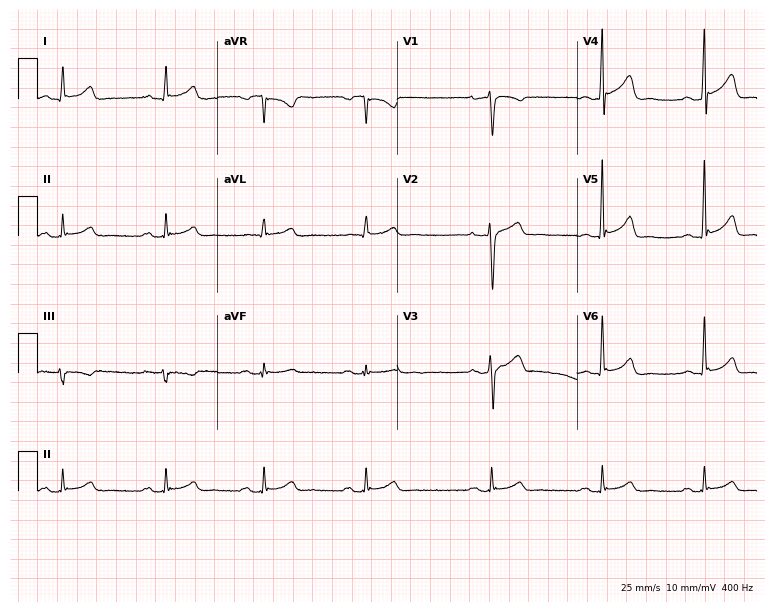
Standard 12-lead ECG recorded from a male patient, 43 years old. None of these six findings is recorded: first-degree AV block, right bundle branch block (RBBB), left bundle branch block (LBBB), sinus bradycardia, atrial fibrillation (AF), sinus tachycardia.